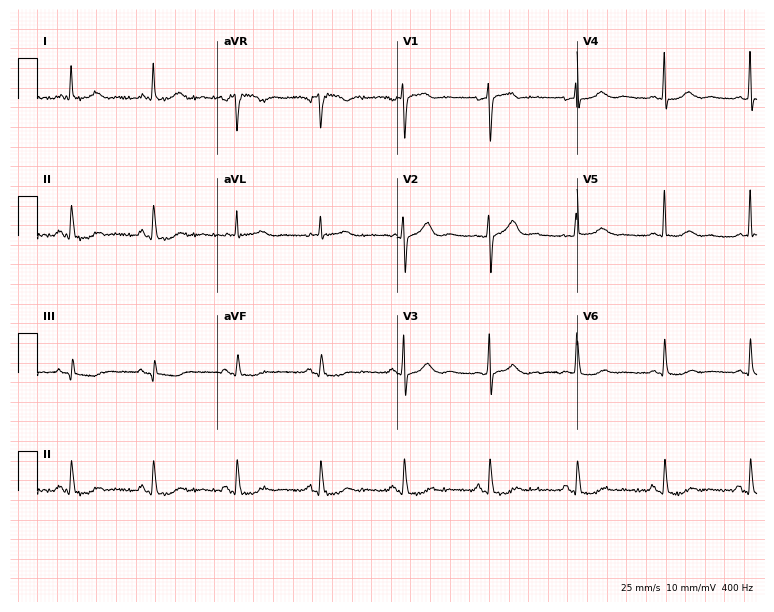
12-lead ECG (7.3-second recording at 400 Hz) from a 56-year-old female patient. Screened for six findings — first-degree AV block, right bundle branch block, left bundle branch block, sinus bradycardia, atrial fibrillation, sinus tachycardia — none is recorded. Only these six findings were labelled.